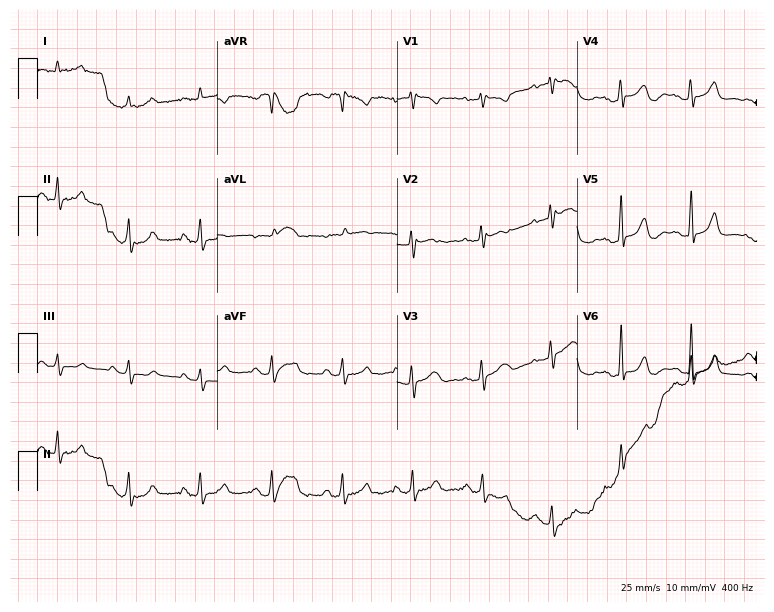
12-lead ECG (7.3-second recording at 400 Hz) from a female, 46 years old. Screened for six findings — first-degree AV block, right bundle branch block, left bundle branch block, sinus bradycardia, atrial fibrillation, sinus tachycardia — none is recorded.